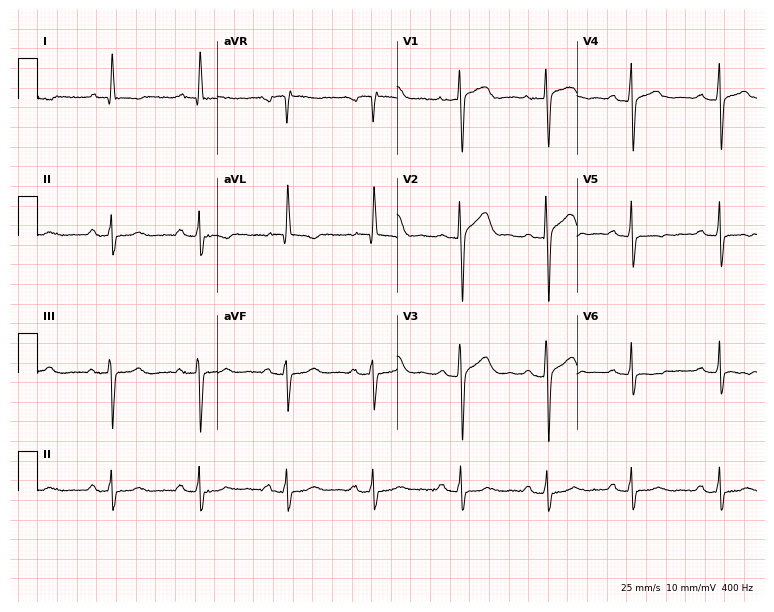
Electrocardiogram (7.3-second recording at 400 Hz), a female patient, 47 years old. Of the six screened findings (first-degree AV block, right bundle branch block (RBBB), left bundle branch block (LBBB), sinus bradycardia, atrial fibrillation (AF), sinus tachycardia), none is recorded.